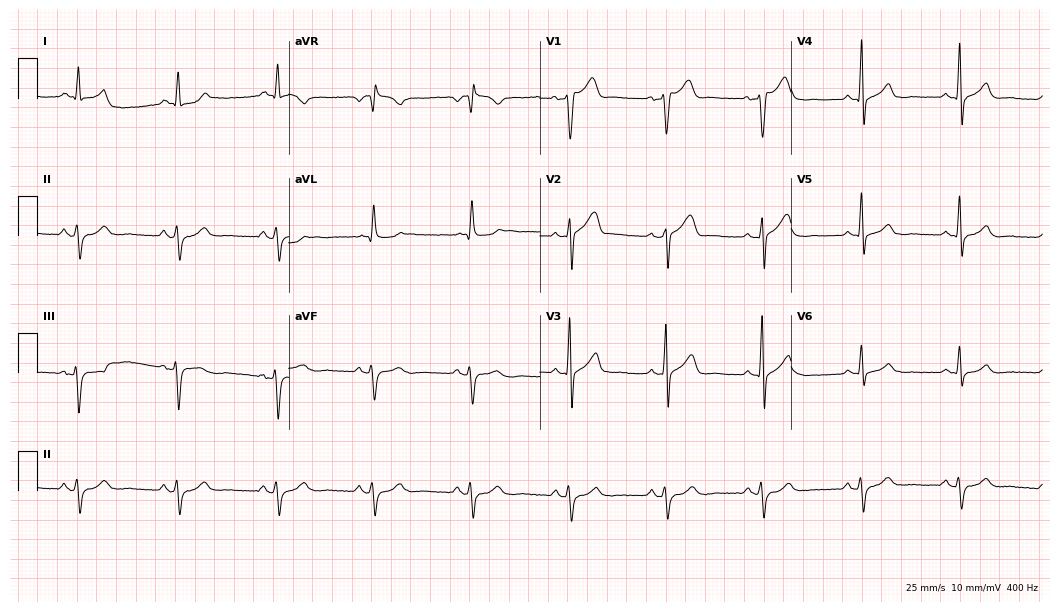
ECG — a 62-year-old man. Screened for six findings — first-degree AV block, right bundle branch block, left bundle branch block, sinus bradycardia, atrial fibrillation, sinus tachycardia — none is recorded.